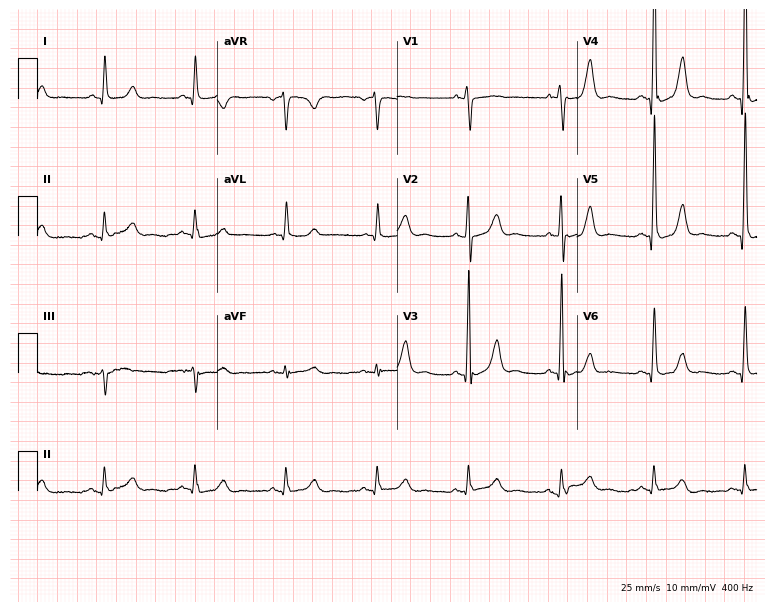
12-lead ECG from an 81-year-old male patient. Labelled as a normal ECG.